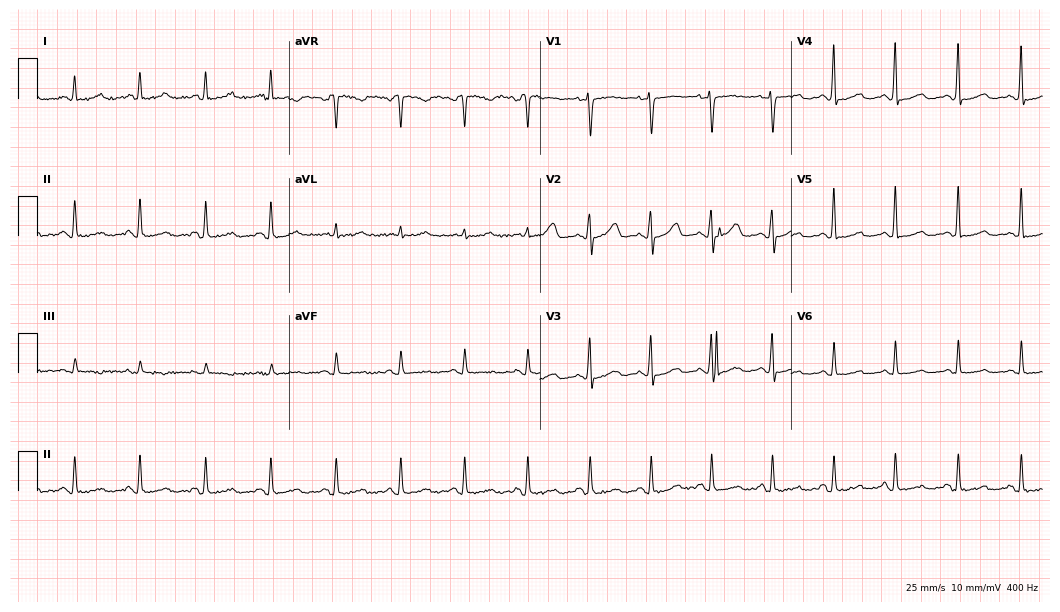
ECG — a female patient, 42 years old. Screened for six findings — first-degree AV block, right bundle branch block, left bundle branch block, sinus bradycardia, atrial fibrillation, sinus tachycardia — none is recorded. Other findings, if any, are not listed.